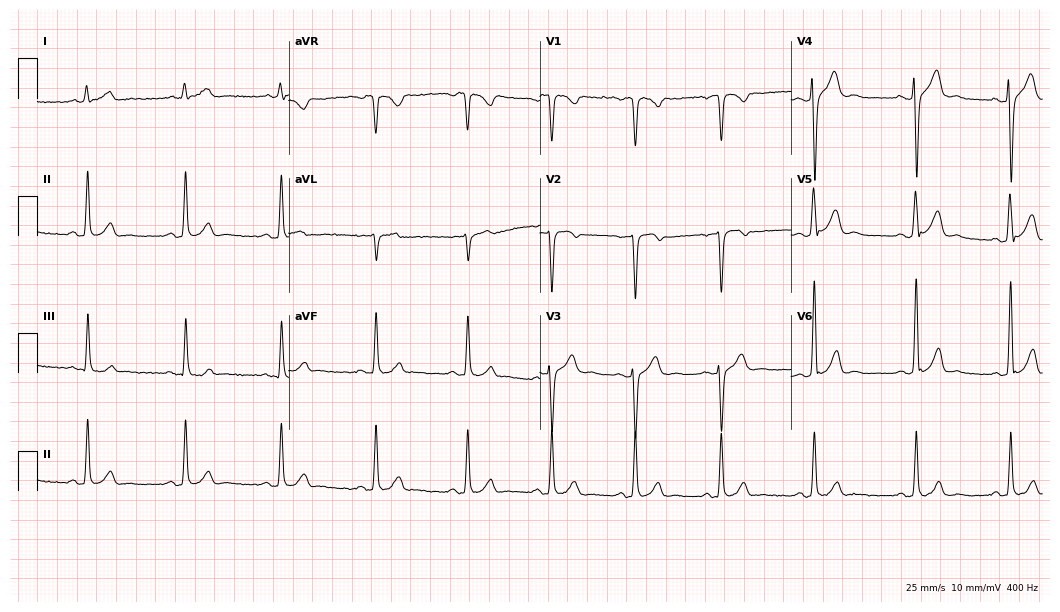
ECG — a male patient, 24 years old. Labelled as a normal ECG.